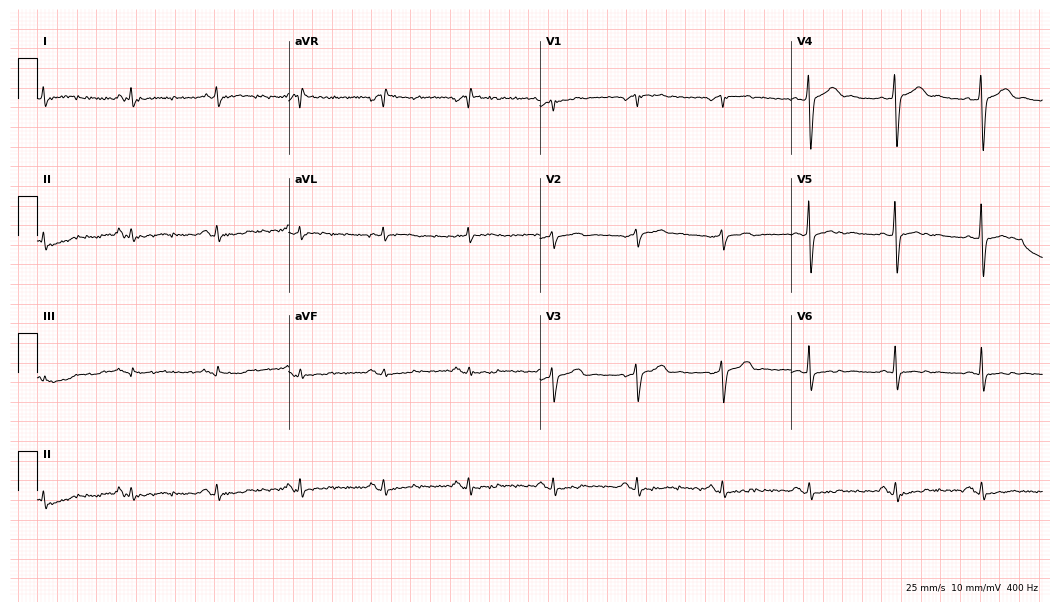
12-lead ECG (10.2-second recording at 400 Hz) from a 49-year-old male patient. Screened for six findings — first-degree AV block, right bundle branch block, left bundle branch block, sinus bradycardia, atrial fibrillation, sinus tachycardia — none is recorded. Only these six findings were labelled.